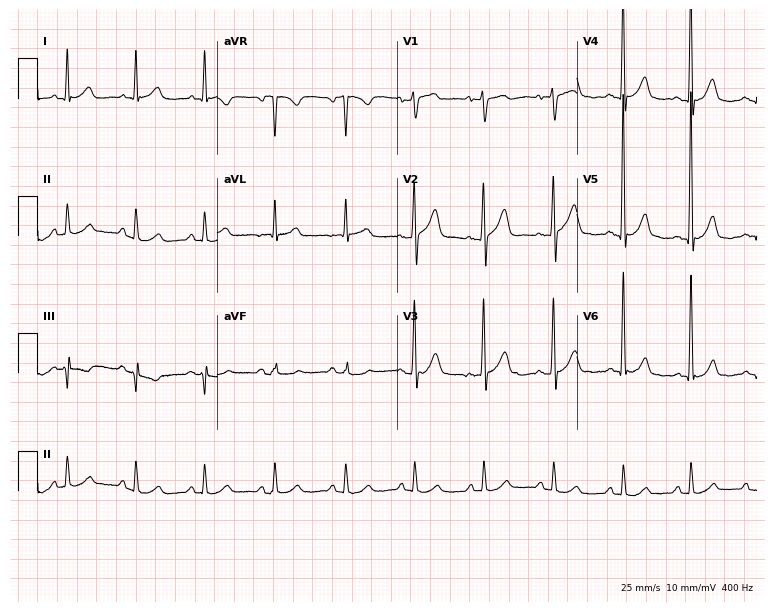
ECG (7.3-second recording at 400 Hz) — a 67-year-old man. Labelled as a normal ECG.